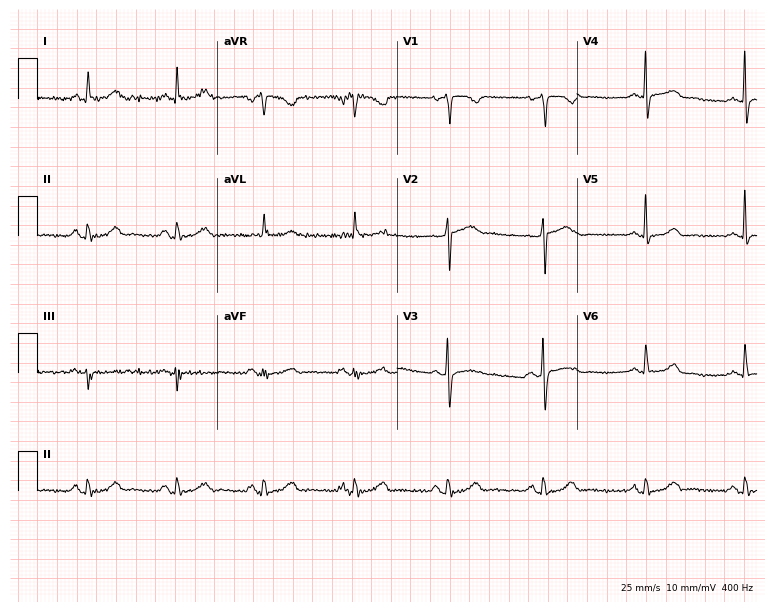
Standard 12-lead ECG recorded from a female, 63 years old. Read as a normal ECG.